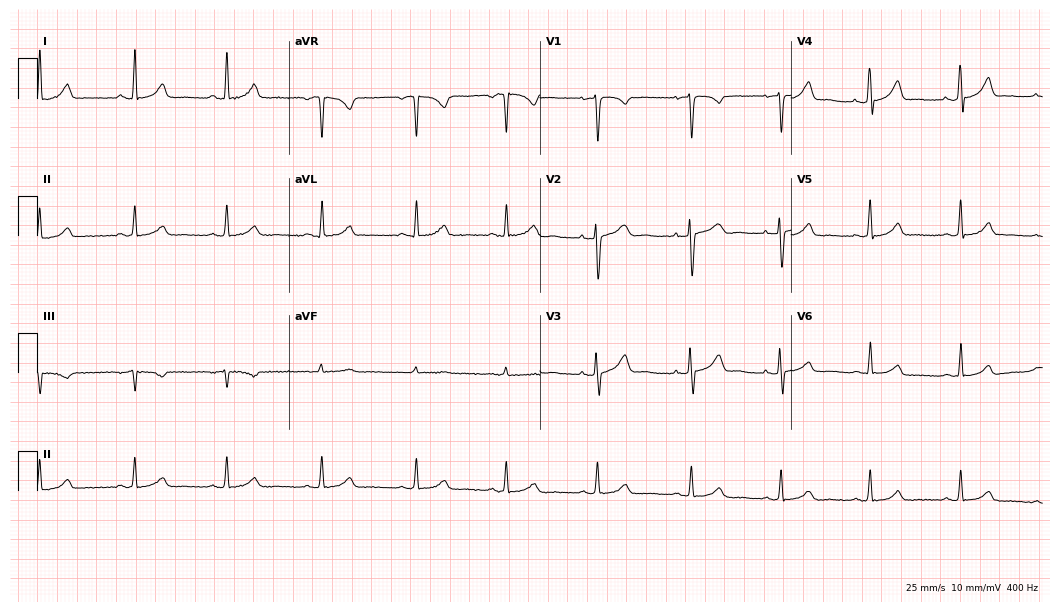
12-lead ECG (10.2-second recording at 400 Hz) from a female patient, 38 years old. Labelled as a normal ECG.